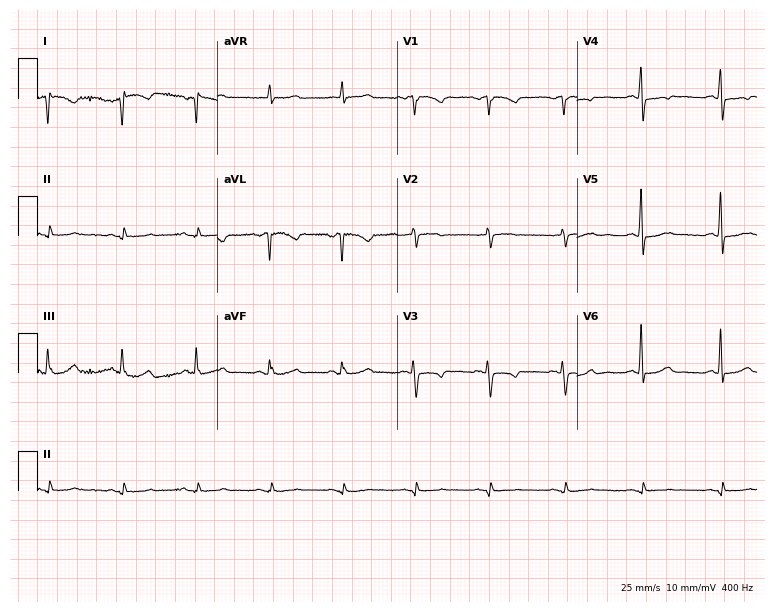
12-lead ECG from a 75-year-old female patient (7.3-second recording at 400 Hz). No first-degree AV block, right bundle branch block (RBBB), left bundle branch block (LBBB), sinus bradycardia, atrial fibrillation (AF) or sinus tachycardia recorded for this tracing. Other findings, if any, are not listed.